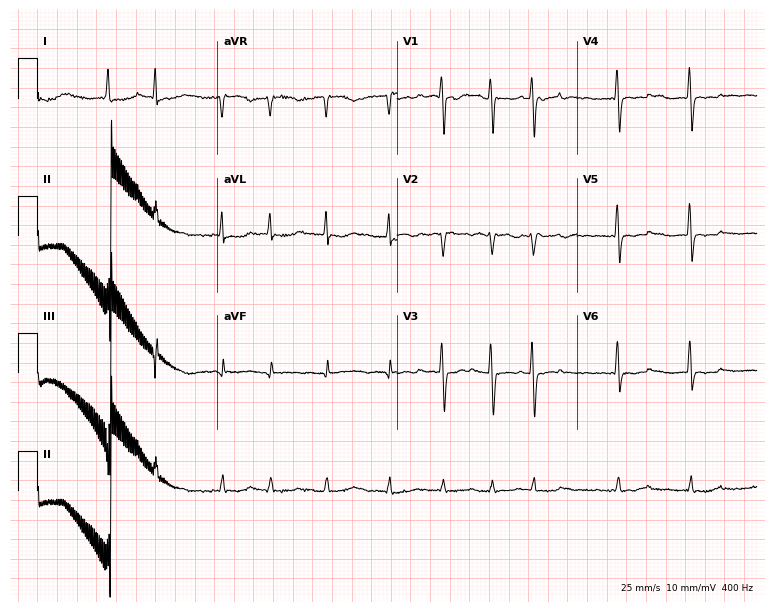
12-lead ECG (7.3-second recording at 400 Hz) from a 59-year-old woman. Findings include atrial fibrillation (AF).